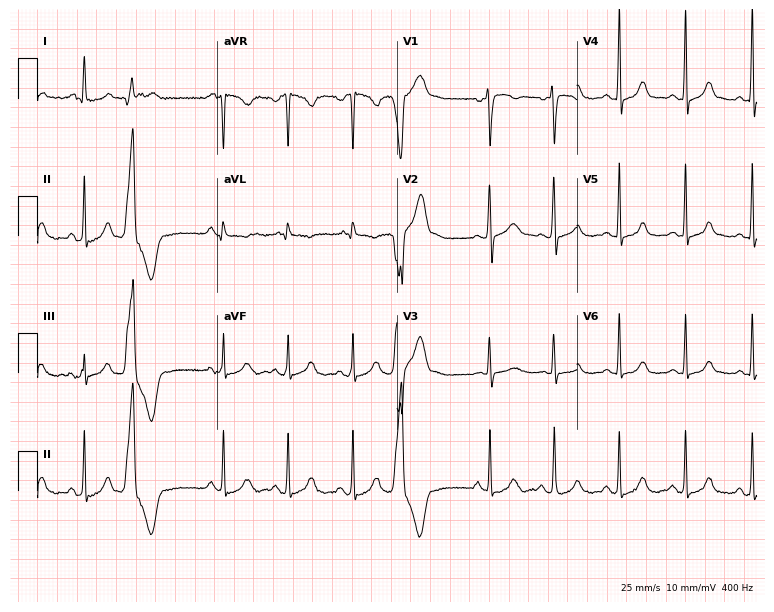
Resting 12-lead electrocardiogram (7.3-second recording at 400 Hz). Patient: a woman, 45 years old. None of these six findings is recorded: first-degree AV block, right bundle branch block (RBBB), left bundle branch block (LBBB), sinus bradycardia, atrial fibrillation (AF), sinus tachycardia.